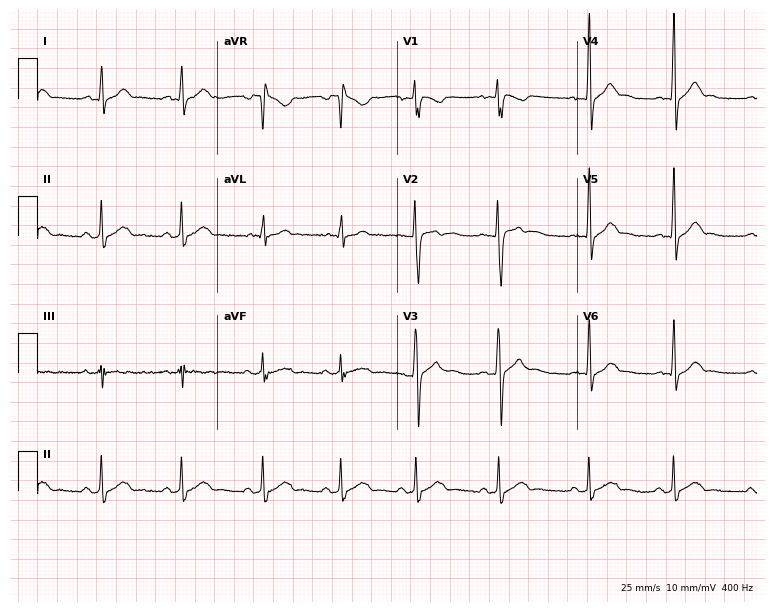
ECG — a man, 19 years old. Labelled as a normal ECG.